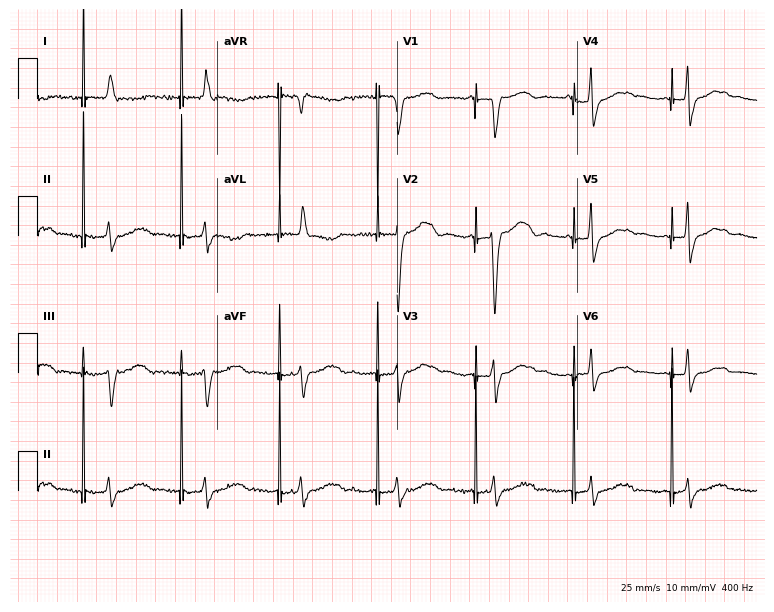
Electrocardiogram (7.3-second recording at 400 Hz), an 85-year-old woman. Of the six screened findings (first-degree AV block, right bundle branch block, left bundle branch block, sinus bradycardia, atrial fibrillation, sinus tachycardia), none is recorded.